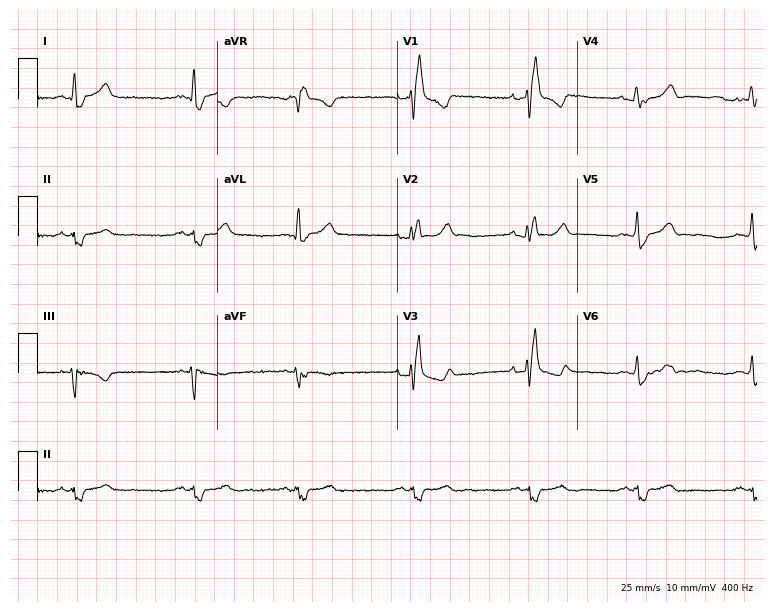
Resting 12-lead electrocardiogram. Patient: a man, 59 years old. The tracing shows right bundle branch block (RBBB).